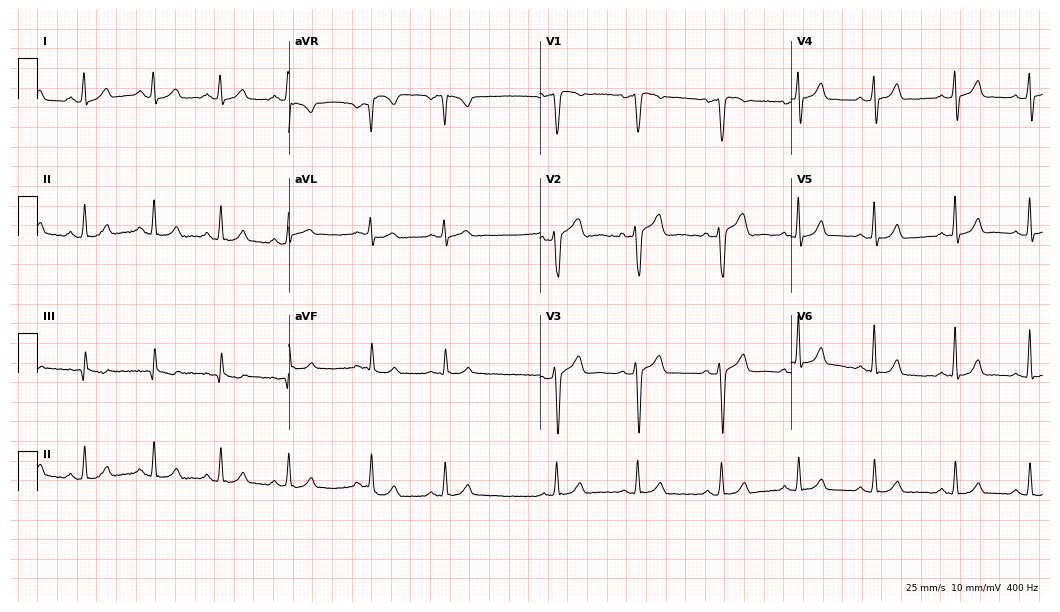
12-lead ECG (10.2-second recording at 400 Hz) from a 22-year-old male. Labelled as a normal ECG.